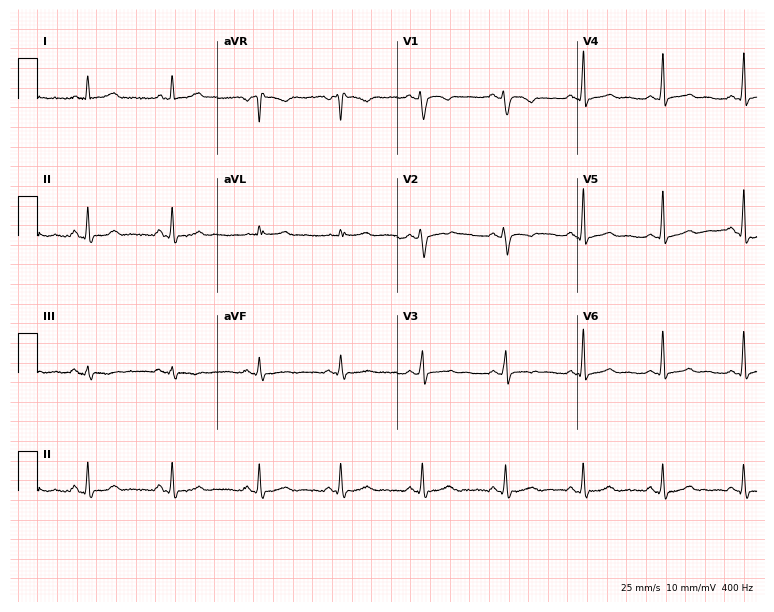
12-lead ECG from a 37-year-old female. Labelled as a normal ECG.